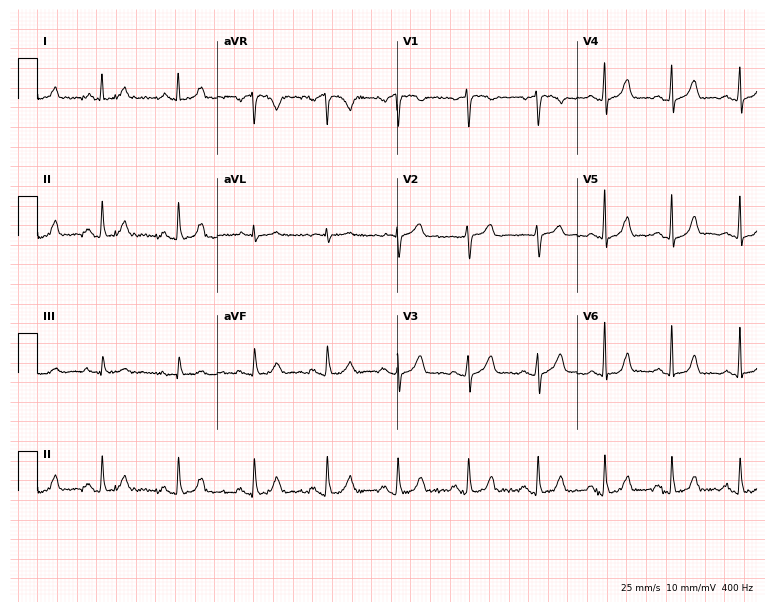
Standard 12-lead ECG recorded from a 44-year-old female patient (7.3-second recording at 400 Hz). None of these six findings is recorded: first-degree AV block, right bundle branch block, left bundle branch block, sinus bradycardia, atrial fibrillation, sinus tachycardia.